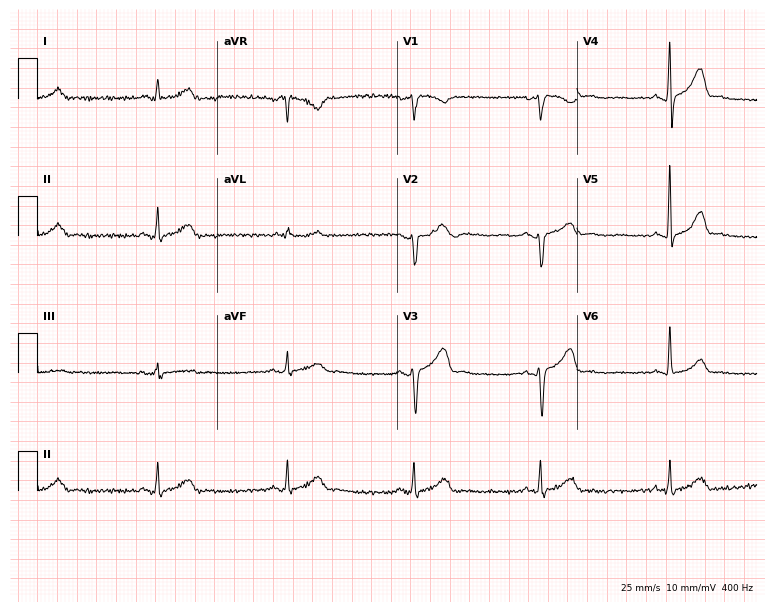
Electrocardiogram (7.3-second recording at 400 Hz), a 49-year-old female patient. Interpretation includes sinus bradycardia (a sinus rate of 50 beats per minute or less).